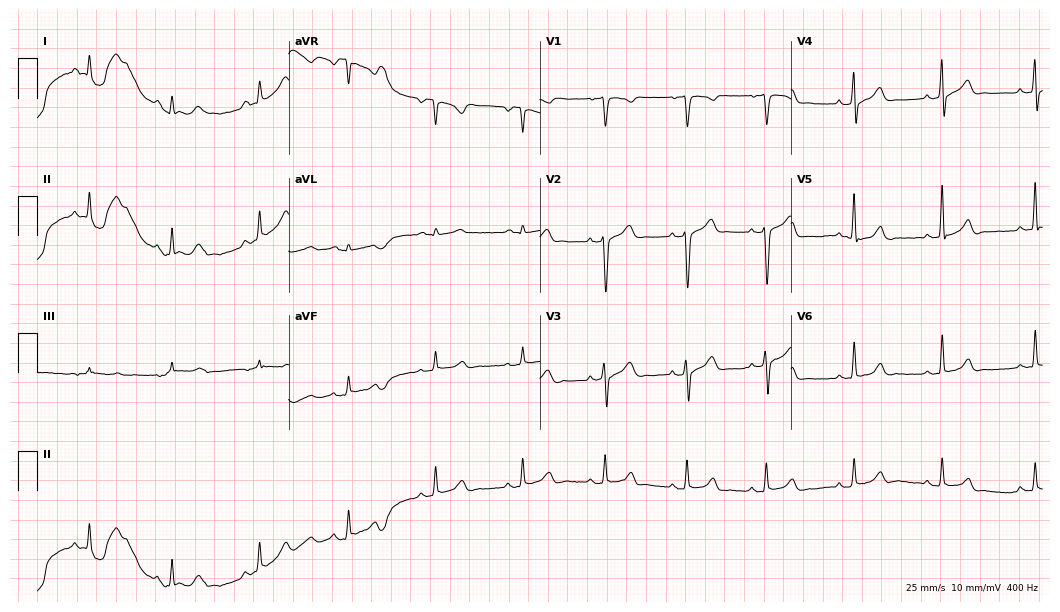
Electrocardiogram, a man, 33 years old. Overall reading on record: normal ECG.